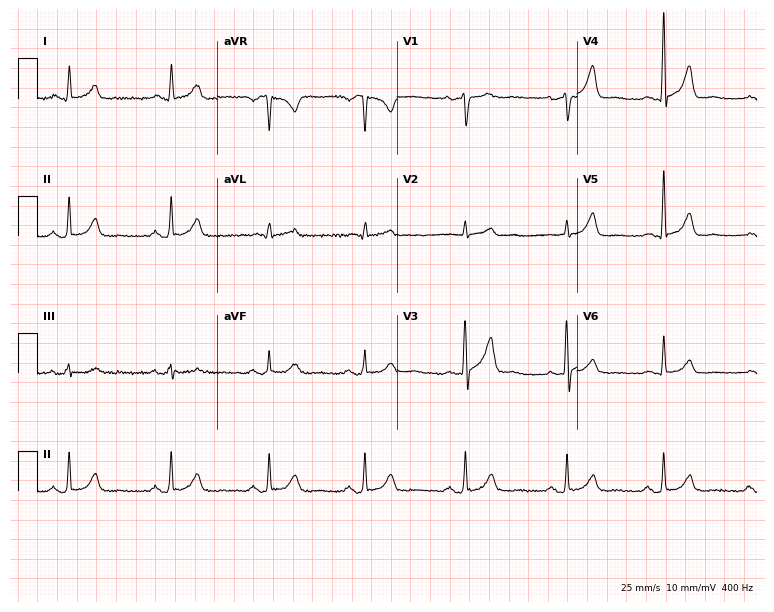
Standard 12-lead ECG recorded from a male, 45 years old (7.3-second recording at 400 Hz). Read as a normal ECG.